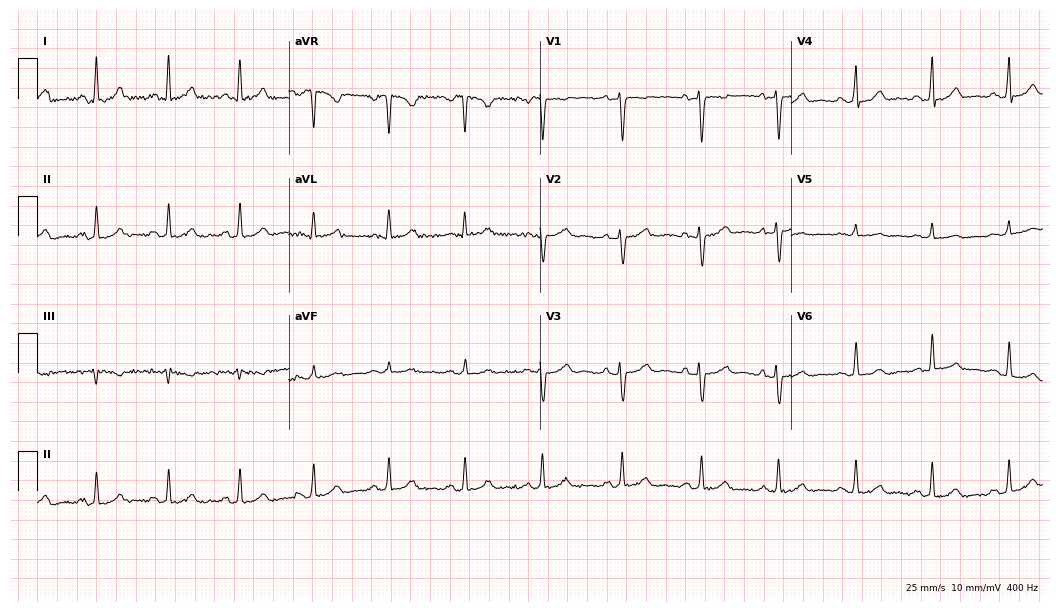
Electrocardiogram, a female patient, 35 years old. Overall reading on record: normal ECG.